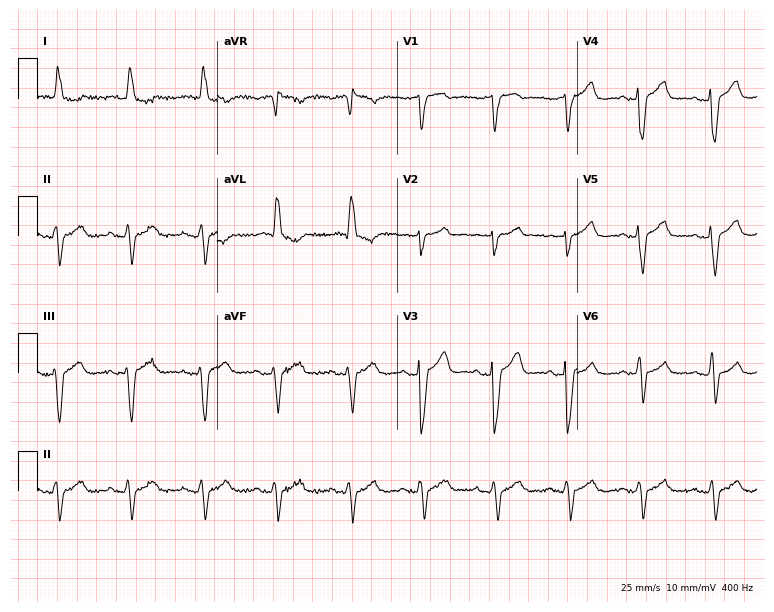
ECG — a woman, 79 years old. Screened for six findings — first-degree AV block, right bundle branch block, left bundle branch block, sinus bradycardia, atrial fibrillation, sinus tachycardia — none is recorded. Only these six findings were labelled.